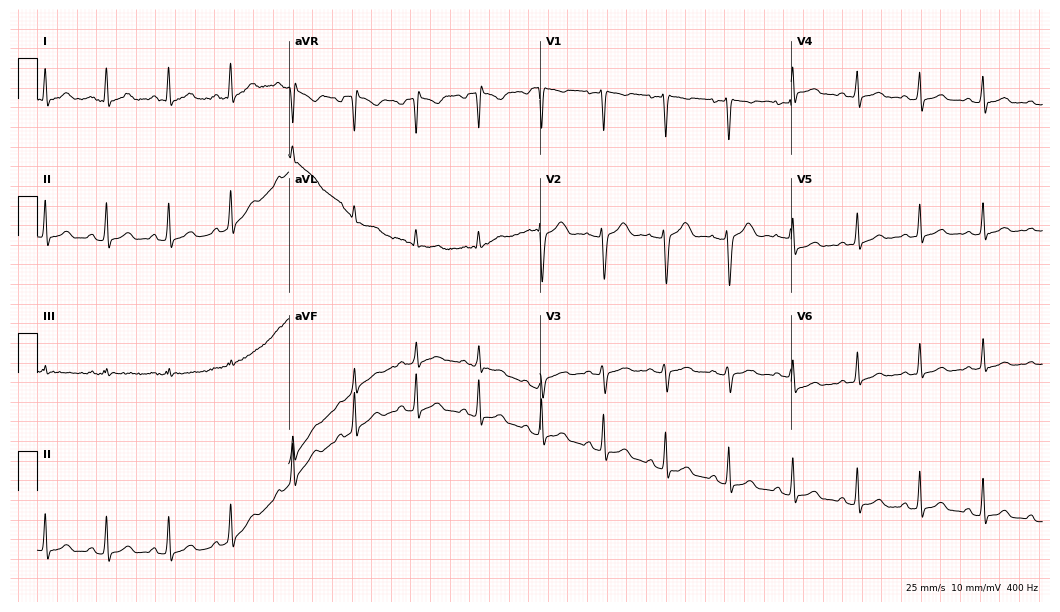
12-lead ECG from a 30-year-old female patient. Labelled as a normal ECG.